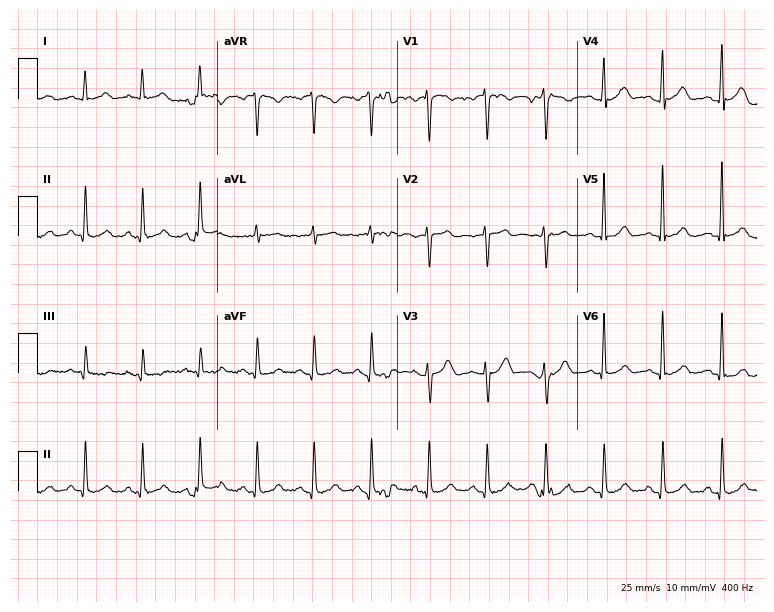
Resting 12-lead electrocardiogram (7.3-second recording at 400 Hz). Patient: a man, 56 years old. The tracing shows sinus tachycardia (a sinus rate of 100 beats per minute or more).